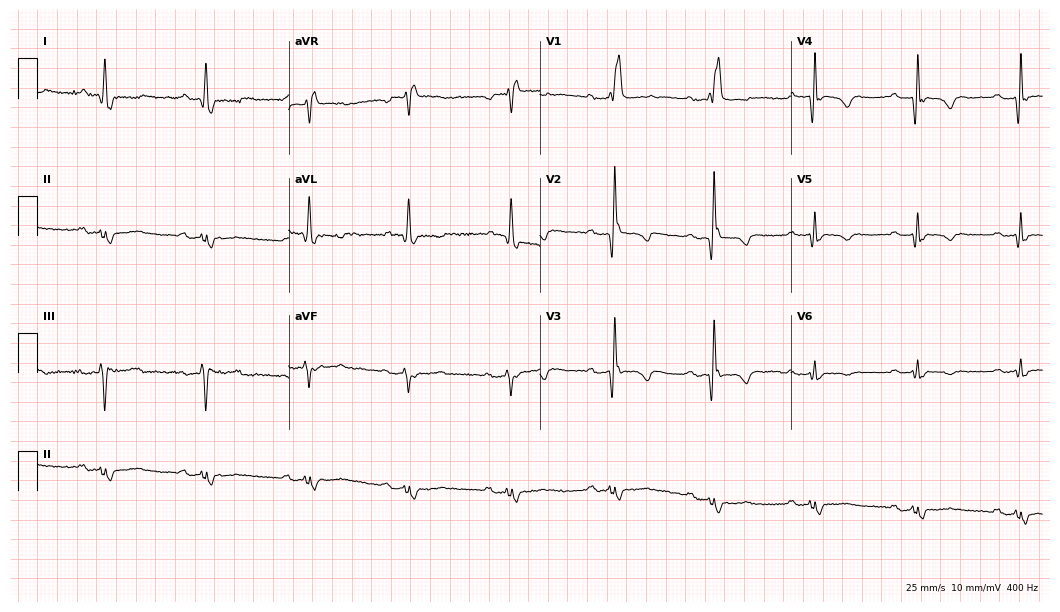
Standard 12-lead ECG recorded from a 75-year-old woman. The tracing shows first-degree AV block, right bundle branch block (RBBB).